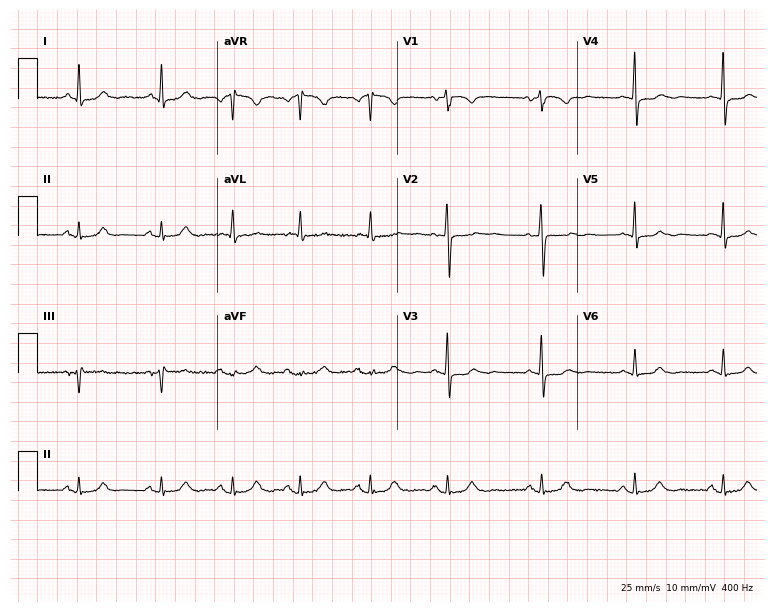
Standard 12-lead ECG recorded from a female patient, 63 years old. Read as a normal ECG.